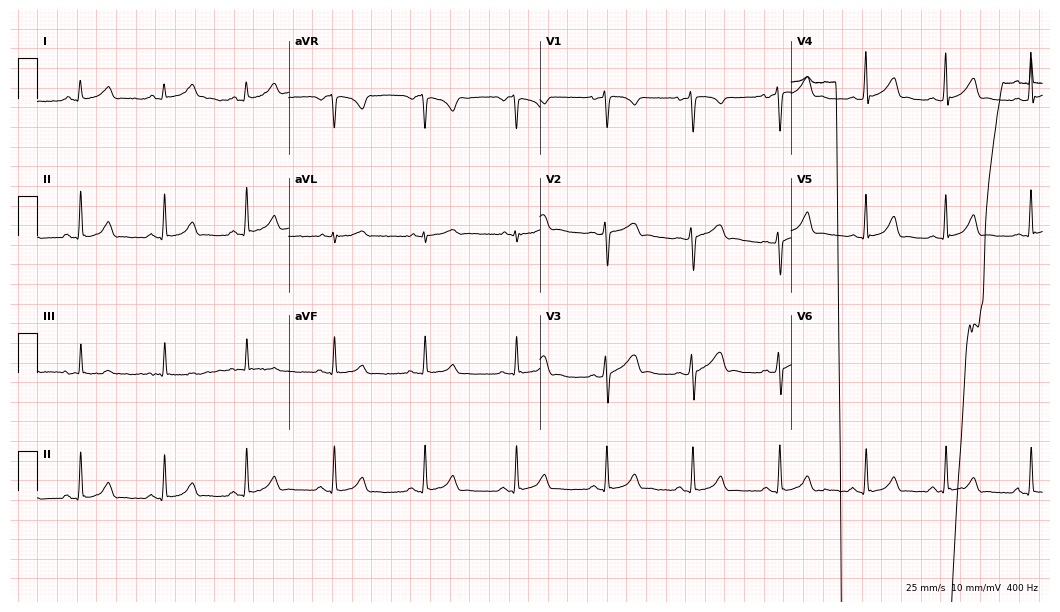
12-lead ECG from a 23-year-old female. No first-degree AV block, right bundle branch block, left bundle branch block, sinus bradycardia, atrial fibrillation or sinus tachycardia recorded for this tracing. Only these six findings were labelled.